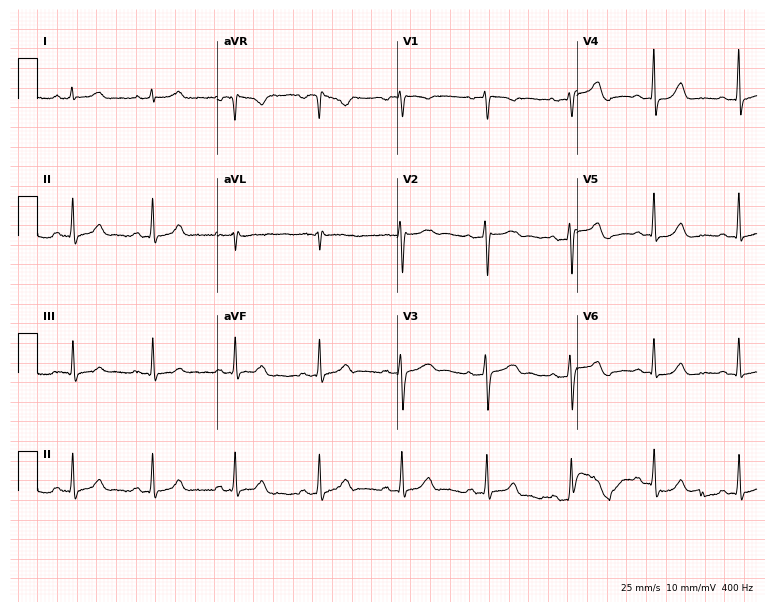
Resting 12-lead electrocardiogram (7.3-second recording at 400 Hz). Patient: a female, 38 years old. Read as a normal ECG.